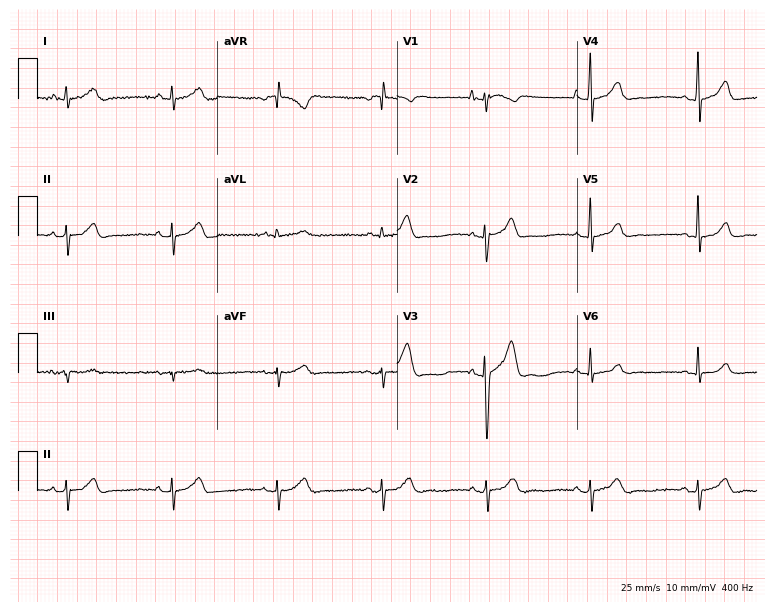
Electrocardiogram (7.3-second recording at 400 Hz), a 47-year-old male. Of the six screened findings (first-degree AV block, right bundle branch block, left bundle branch block, sinus bradycardia, atrial fibrillation, sinus tachycardia), none is recorded.